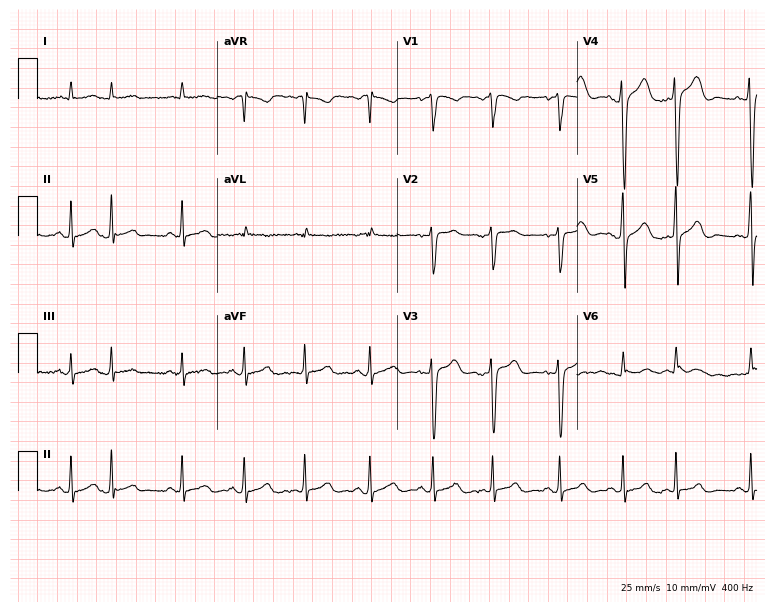
Standard 12-lead ECG recorded from a 37-year-old man. None of these six findings is recorded: first-degree AV block, right bundle branch block, left bundle branch block, sinus bradycardia, atrial fibrillation, sinus tachycardia.